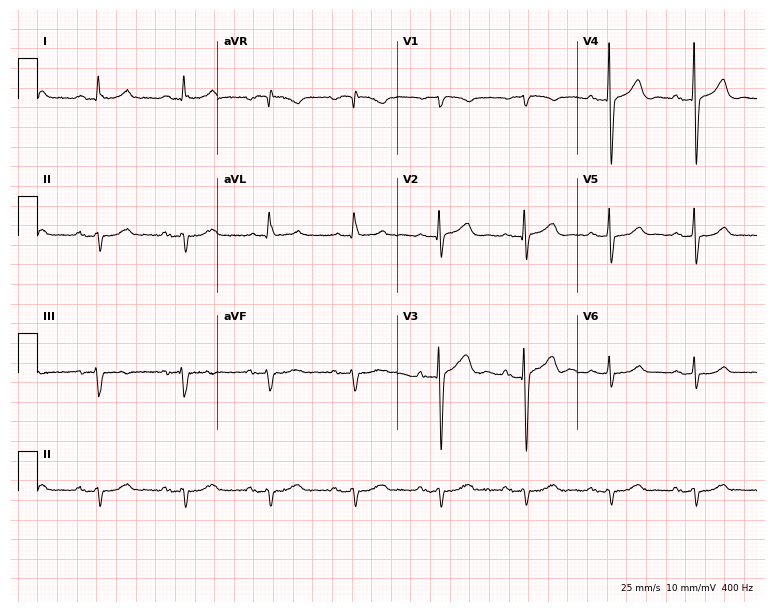
Standard 12-lead ECG recorded from a male, 77 years old. None of these six findings is recorded: first-degree AV block, right bundle branch block (RBBB), left bundle branch block (LBBB), sinus bradycardia, atrial fibrillation (AF), sinus tachycardia.